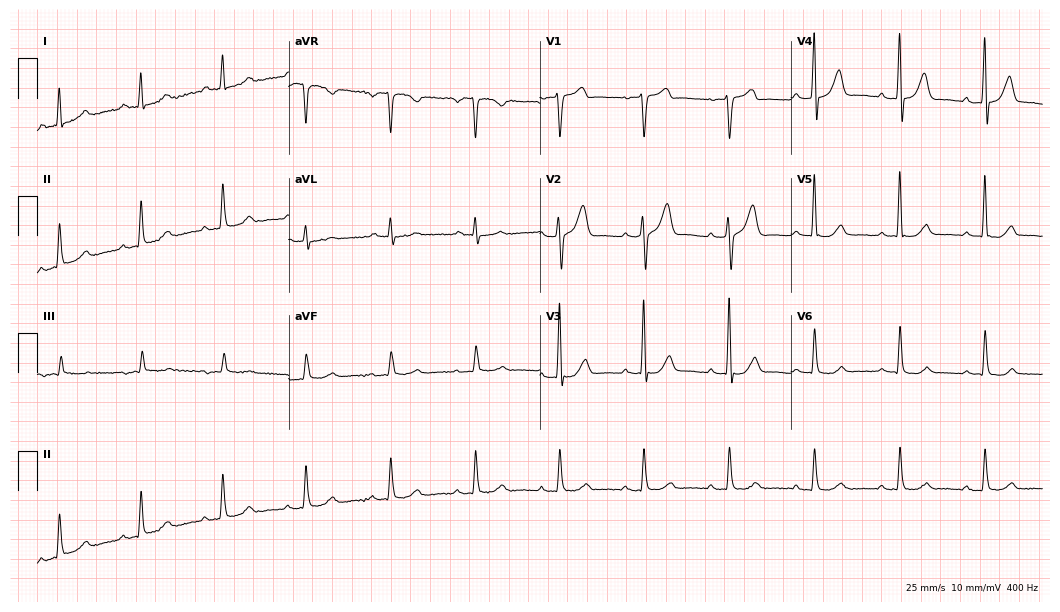
12-lead ECG from a woman, 63 years old (10.2-second recording at 400 Hz). No first-degree AV block, right bundle branch block, left bundle branch block, sinus bradycardia, atrial fibrillation or sinus tachycardia recorded for this tracing. Findings outside these six are not listed.